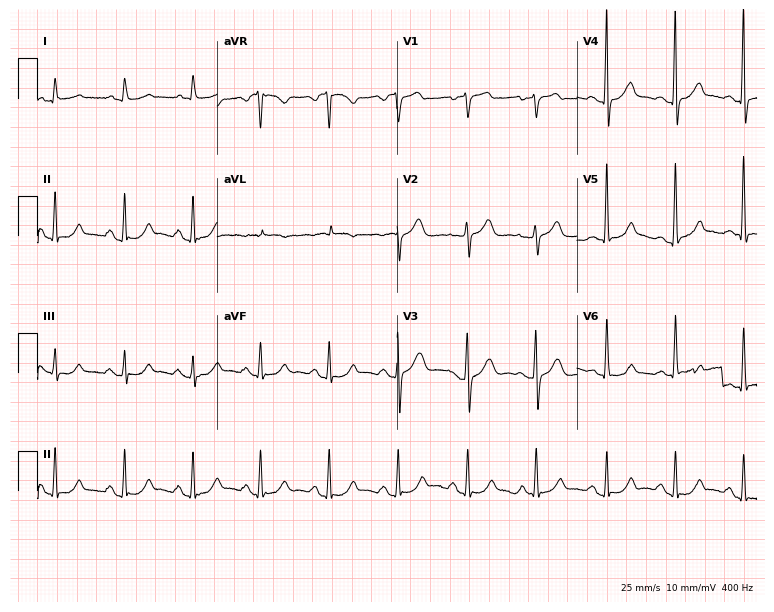
Resting 12-lead electrocardiogram. Patient: a woman, 71 years old. Read as a normal ECG.